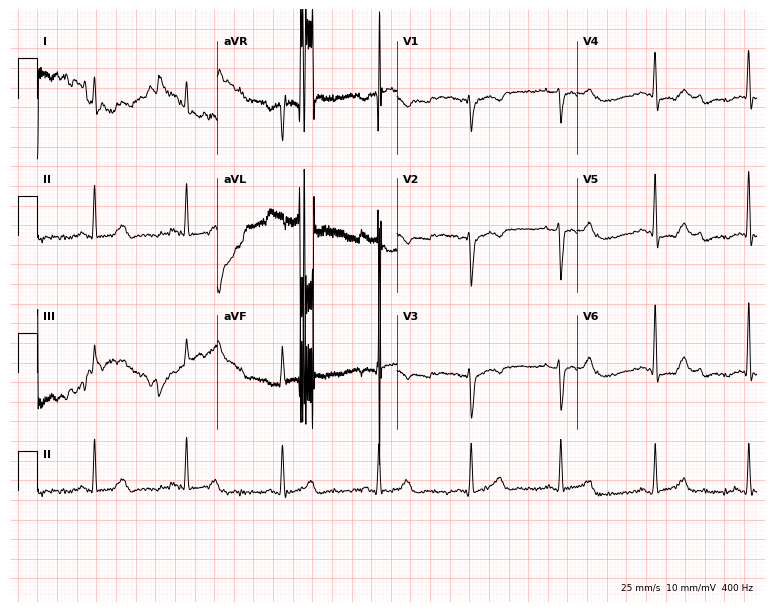
12-lead ECG from a female, 42 years old. Screened for six findings — first-degree AV block, right bundle branch block (RBBB), left bundle branch block (LBBB), sinus bradycardia, atrial fibrillation (AF), sinus tachycardia — none is recorded.